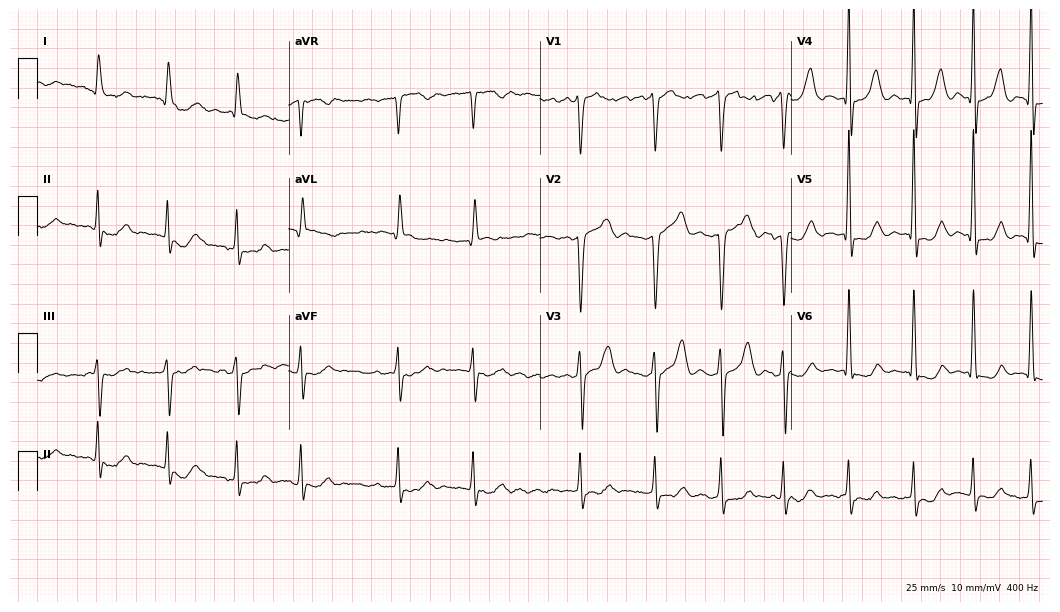
Standard 12-lead ECG recorded from a 69-year-old male (10.2-second recording at 400 Hz). The tracing shows atrial fibrillation (AF).